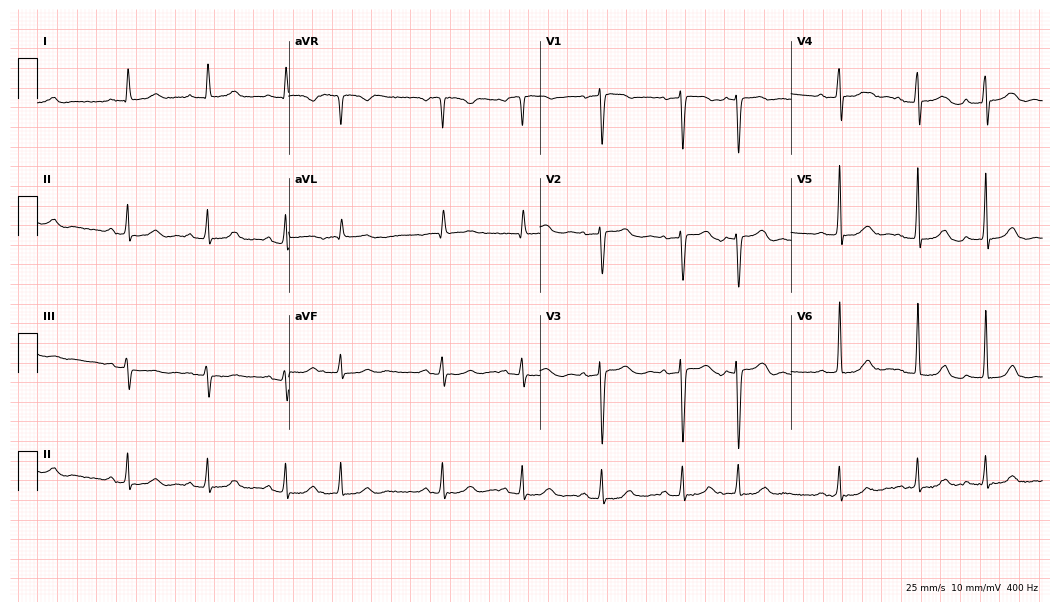
12-lead ECG from a female, 79 years old. No first-degree AV block, right bundle branch block (RBBB), left bundle branch block (LBBB), sinus bradycardia, atrial fibrillation (AF) or sinus tachycardia recorded for this tracing. Other findings, if any, are not listed.